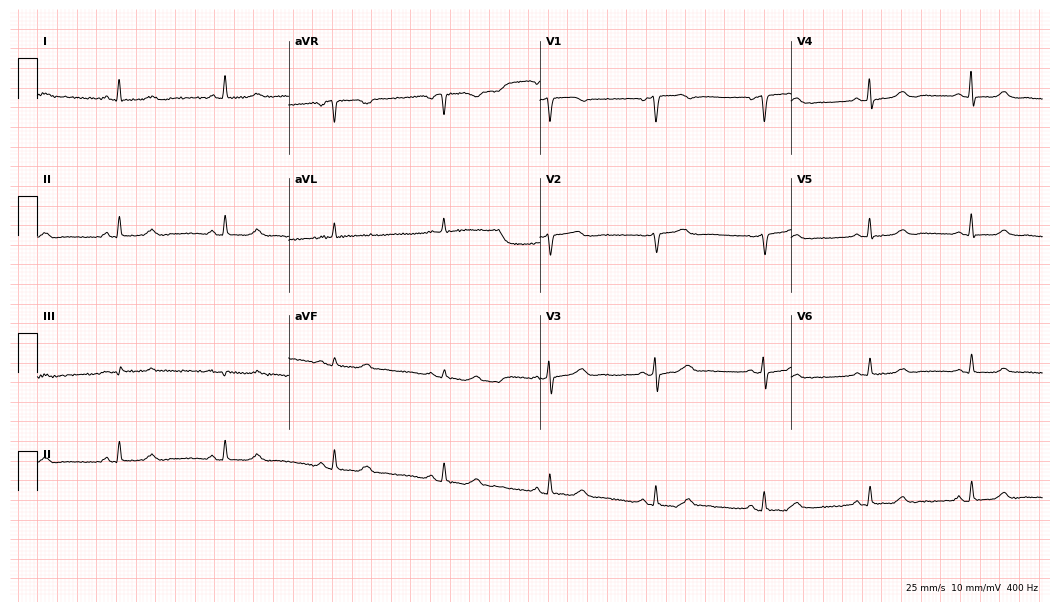
Resting 12-lead electrocardiogram (10.2-second recording at 400 Hz). Patient: a 64-year-old female. None of these six findings is recorded: first-degree AV block, right bundle branch block (RBBB), left bundle branch block (LBBB), sinus bradycardia, atrial fibrillation (AF), sinus tachycardia.